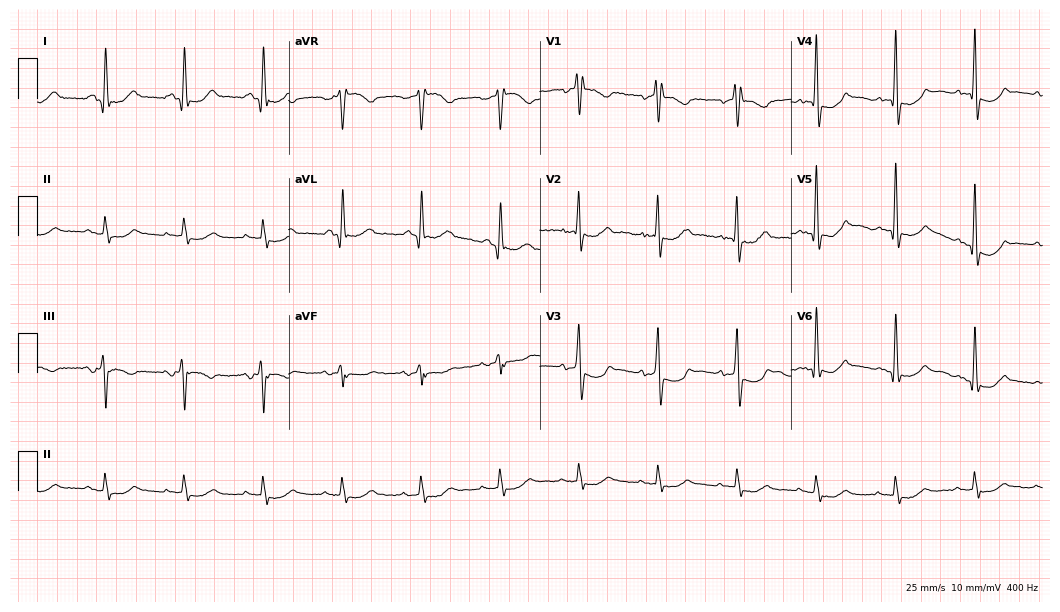
Electrocardiogram, a 77-year-old female patient. Of the six screened findings (first-degree AV block, right bundle branch block (RBBB), left bundle branch block (LBBB), sinus bradycardia, atrial fibrillation (AF), sinus tachycardia), none is recorded.